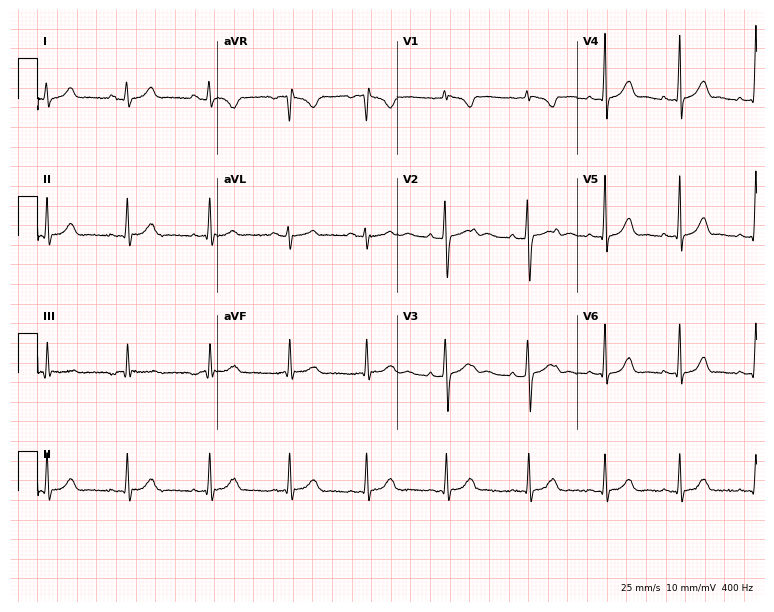
Resting 12-lead electrocardiogram. Patient: a 23-year-old female. Read as a normal ECG.